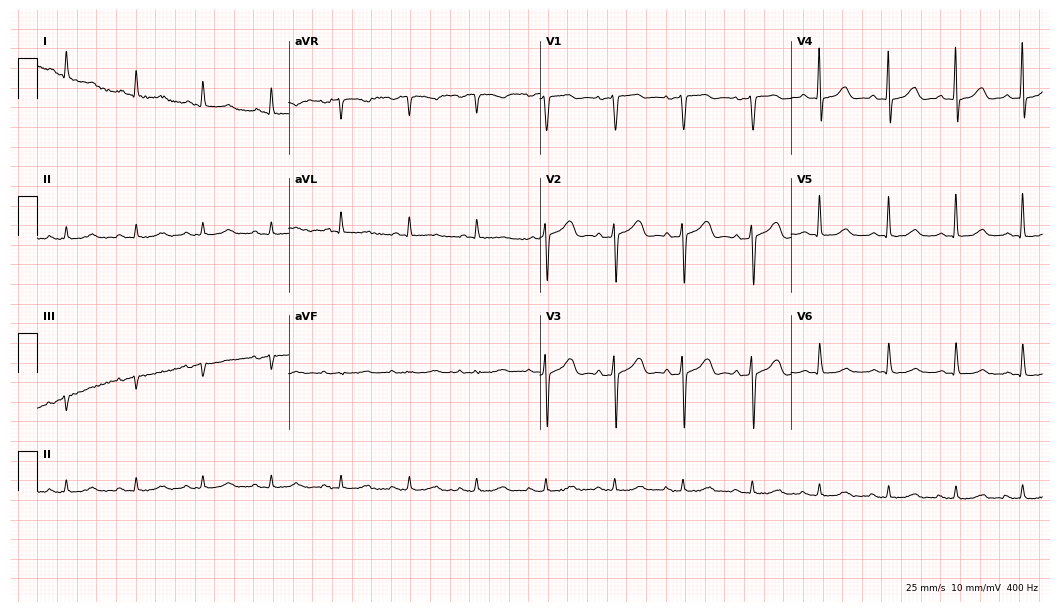
Standard 12-lead ECG recorded from a man, 80 years old. Read as a normal ECG.